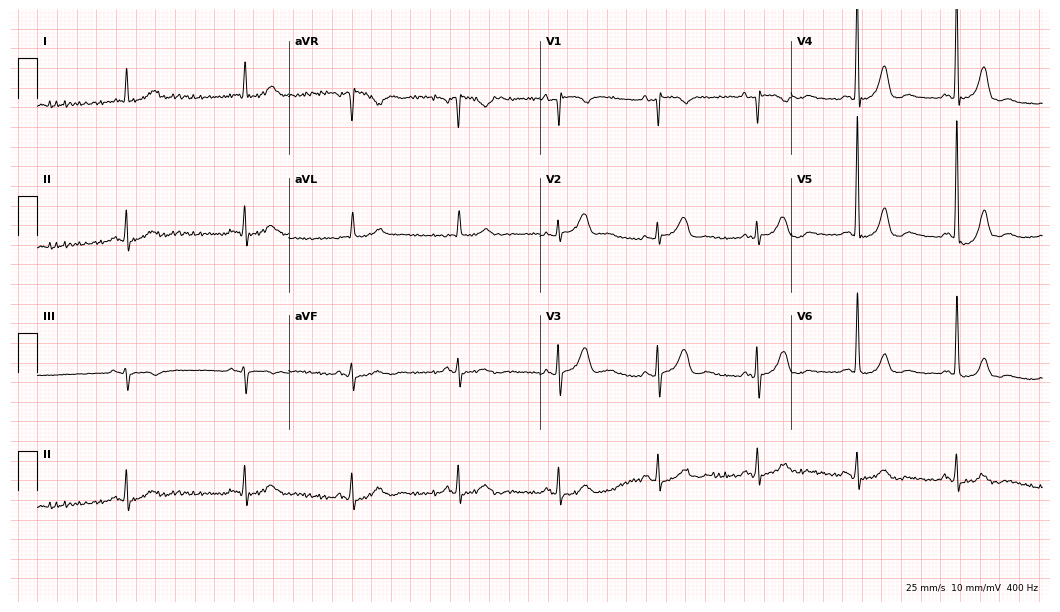
Standard 12-lead ECG recorded from an 83-year-old female patient. None of these six findings is recorded: first-degree AV block, right bundle branch block (RBBB), left bundle branch block (LBBB), sinus bradycardia, atrial fibrillation (AF), sinus tachycardia.